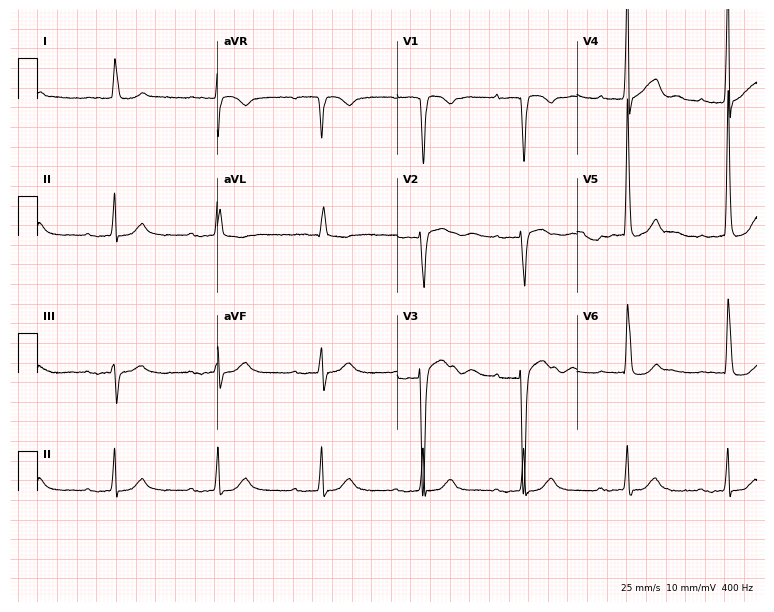
Standard 12-lead ECG recorded from a male patient, 84 years old. Read as a normal ECG.